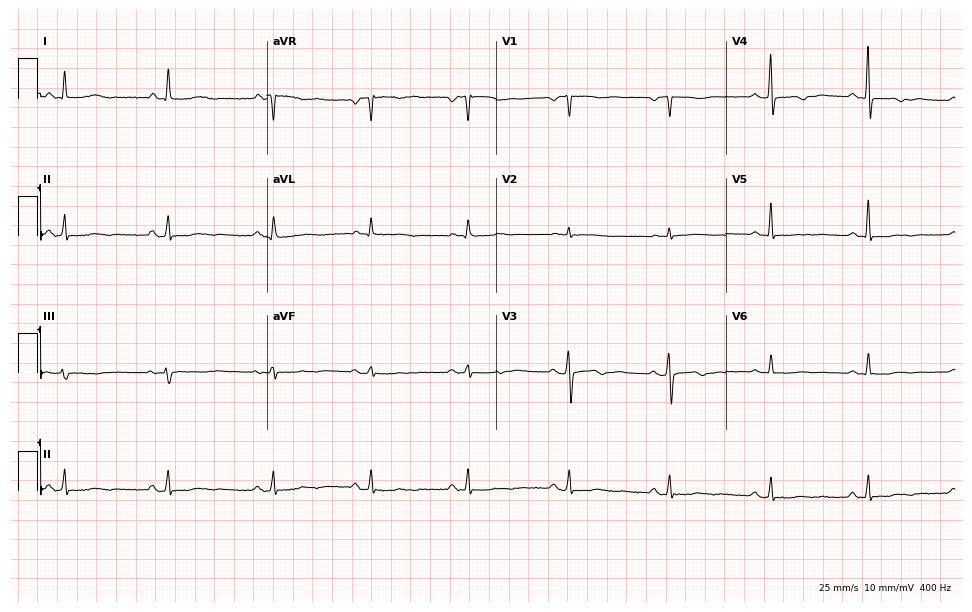
12-lead ECG (9.4-second recording at 400 Hz) from a 63-year-old woman. Screened for six findings — first-degree AV block, right bundle branch block, left bundle branch block, sinus bradycardia, atrial fibrillation, sinus tachycardia — none is recorded. Other findings, if any, are not listed.